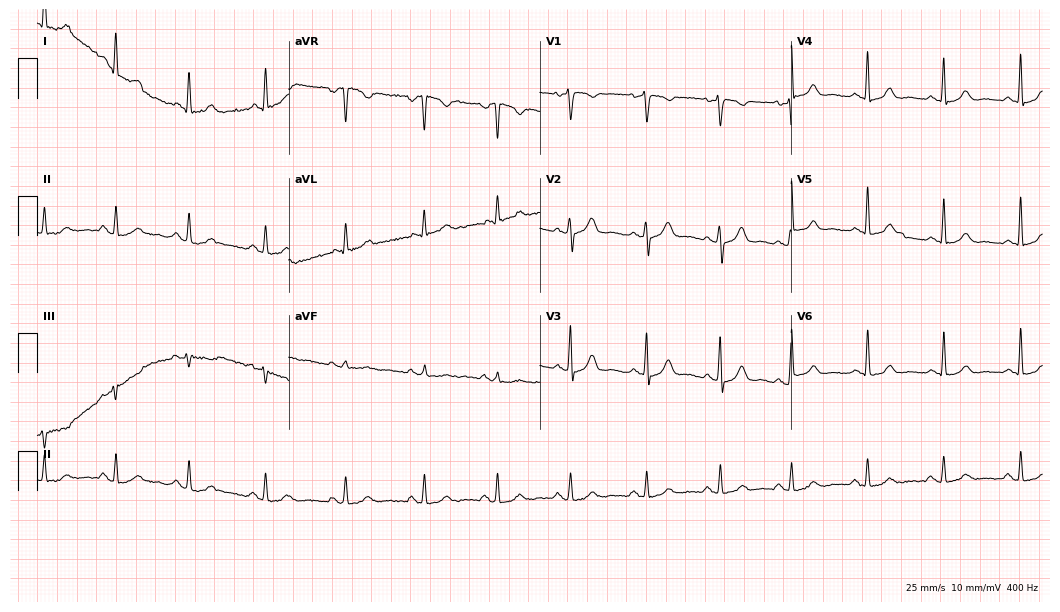
Standard 12-lead ECG recorded from a female patient, 51 years old (10.2-second recording at 400 Hz). Read as a normal ECG.